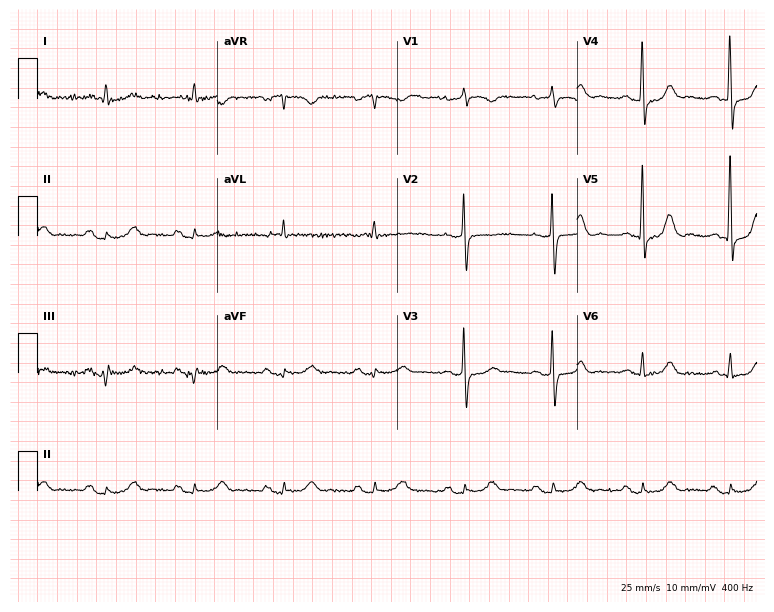
Standard 12-lead ECG recorded from a female, 79 years old. None of these six findings is recorded: first-degree AV block, right bundle branch block (RBBB), left bundle branch block (LBBB), sinus bradycardia, atrial fibrillation (AF), sinus tachycardia. Other findings, if any, are not listed.